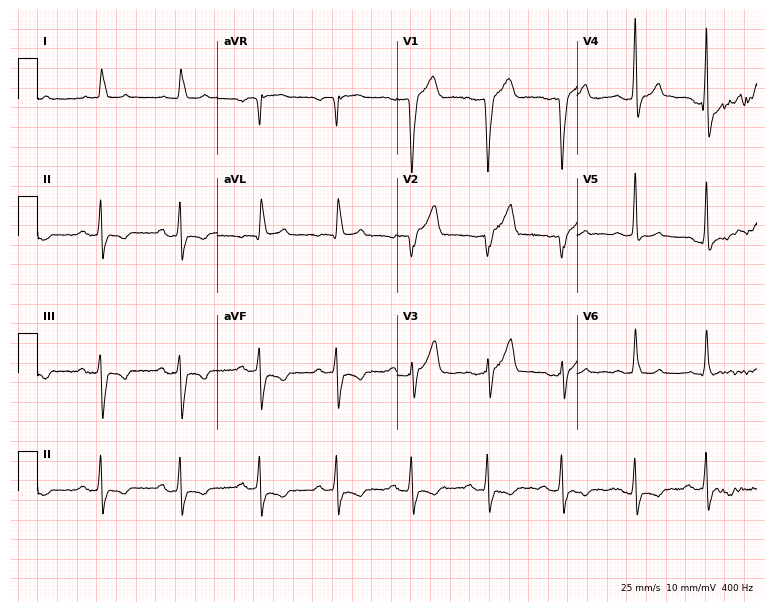
12-lead ECG from a male patient, 68 years old (7.3-second recording at 400 Hz). Shows left bundle branch block.